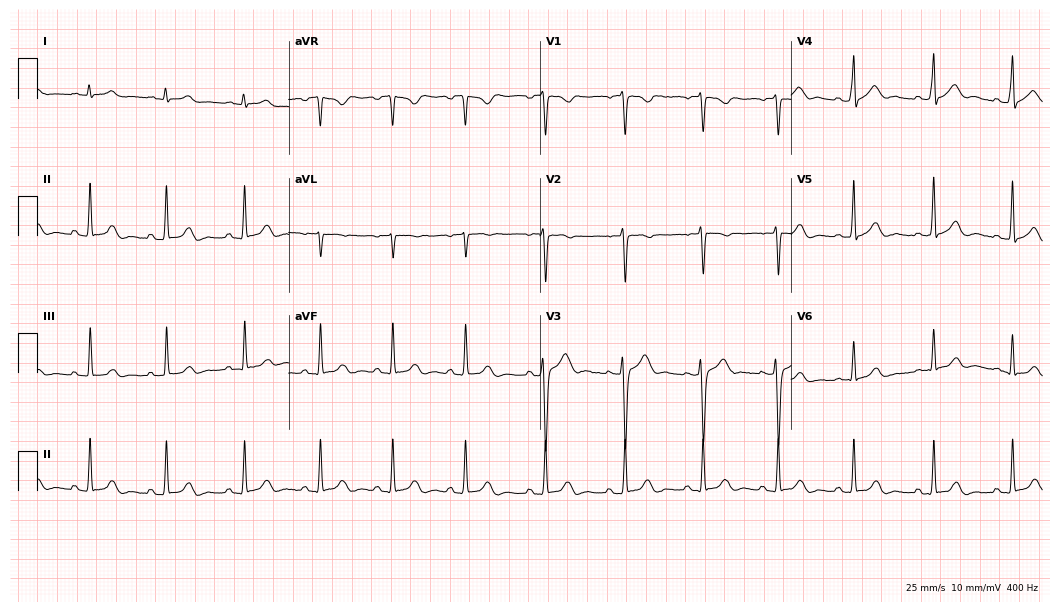
Resting 12-lead electrocardiogram. Patient: a male, 20 years old. Read as a normal ECG.